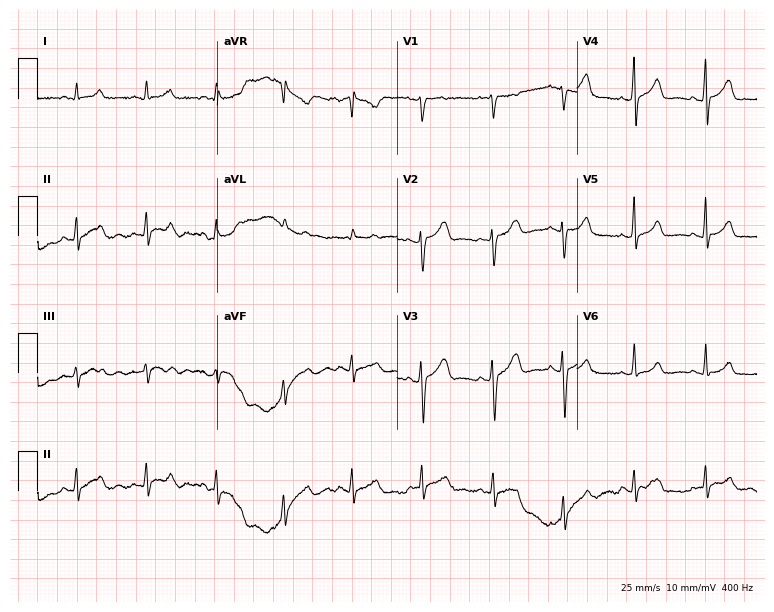
ECG — a 27-year-old female. Screened for six findings — first-degree AV block, right bundle branch block (RBBB), left bundle branch block (LBBB), sinus bradycardia, atrial fibrillation (AF), sinus tachycardia — none is recorded.